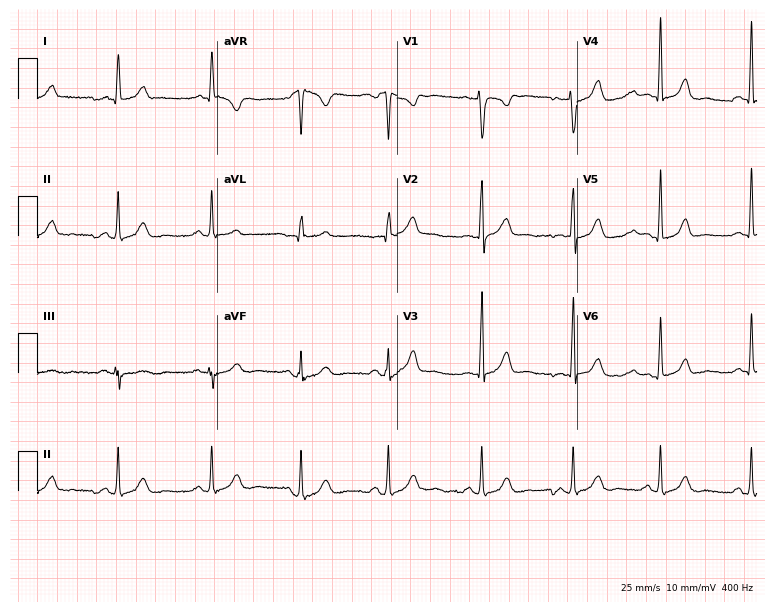
Resting 12-lead electrocardiogram (7.3-second recording at 400 Hz). Patient: a 48-year-old woman. None of these six findings is recorded: first-degree AV block, right bundle branch block (RBBB), left bundle branch block (LBBB), sinus bradycardia, atrial fibrillation (AF), sinus tachycardia. Other findings, if any, are not listed.